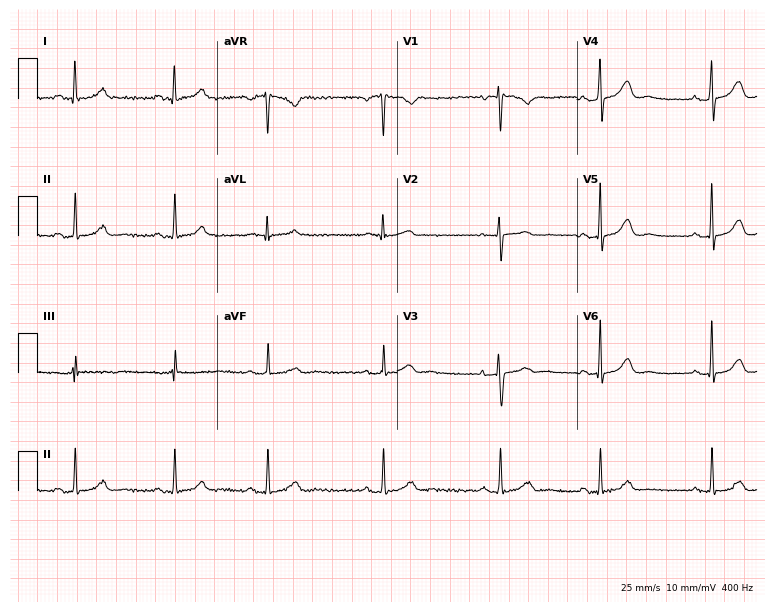
ECG — a female patient, 41 years old. Labelled as a normal ECG.